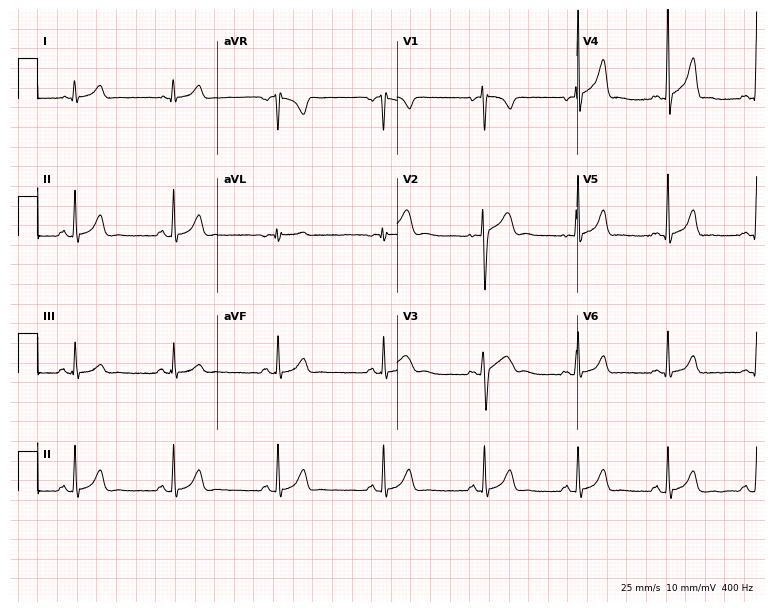
Electrocardiogram, a 17-year-old male. Overall reading on record: normal ECG.